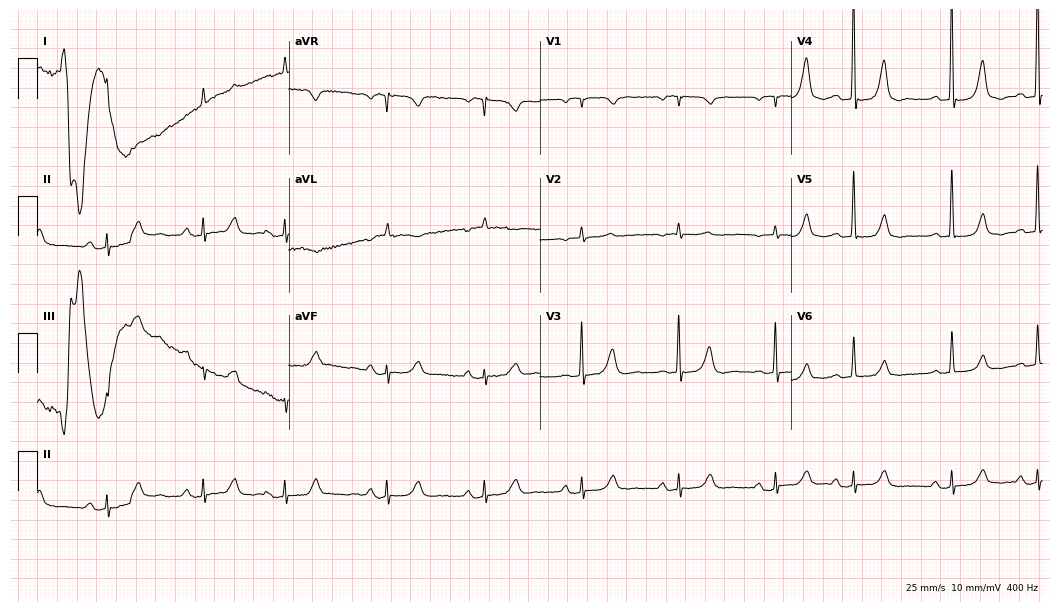
Electrocardiogram, an 85-year-old female patient. Of the six screened findings (first-degree AV block, right bundle branch block, left bundle branch block, sinus bradycardia, atrial fibrillation, sinus tachycardia), none is recorded.